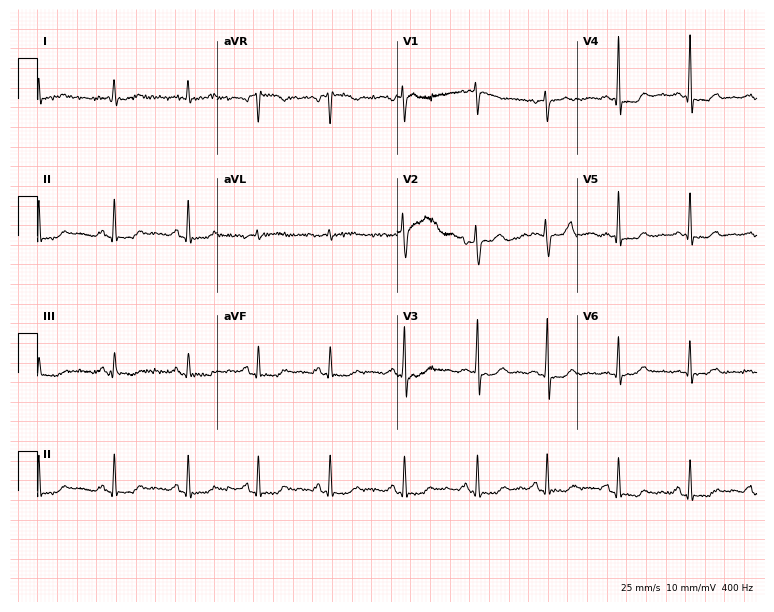
Electrocardiogram, a 41-year-old female. Of the six screened findings (first-degree AV block, right bundle branch block, left bundle branch block, sinus bradycardia, atrial fibrillation, sinus tachycardia), none is recorded.